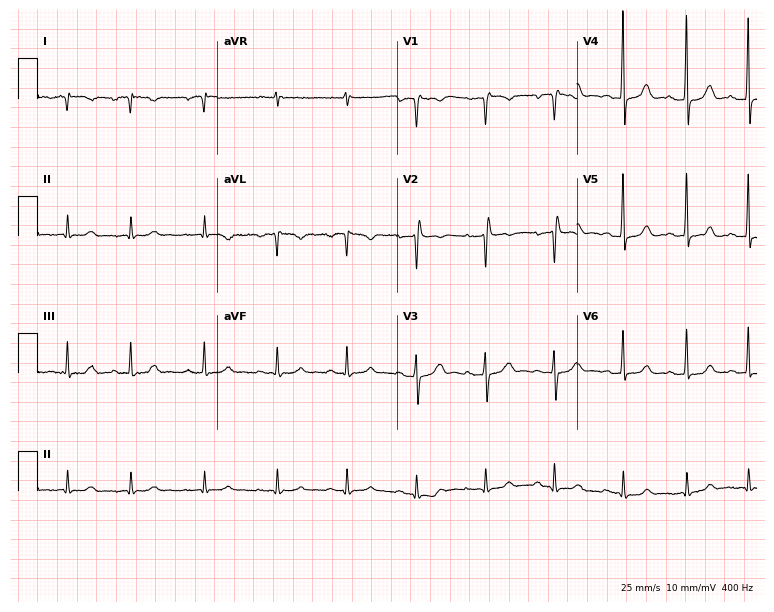
Resting 12-lead electrocardiogram (7.3-second recording at 400 Hz). Patient: a female, 63 years old. None of these six findings is recorded: first-degree AV block, right bundle branch block (RBBB), left bundle branch block (LBBB), sinus bradycardia, atrial fibrillation (AF), sinus tachycardia.